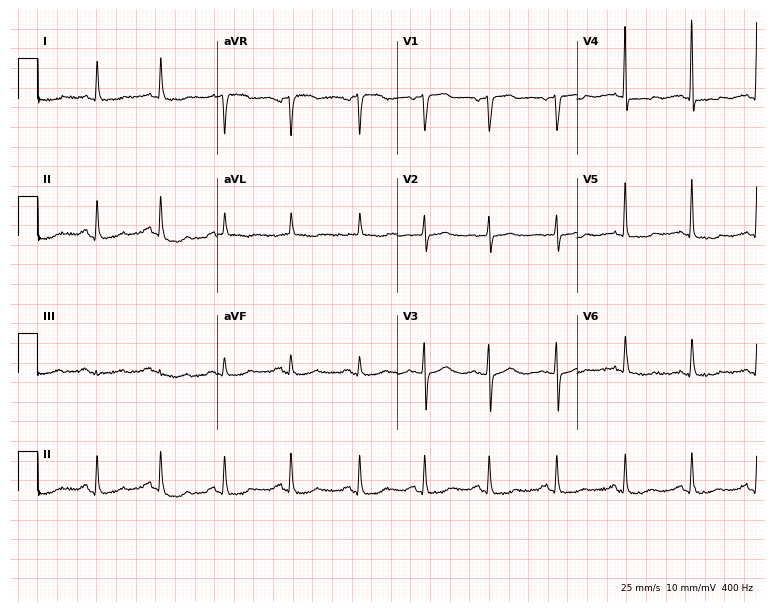
12-lead ECG (7.3-second recording at 400 Hz) from a 67-year-old woman. Screened for six findings — first-degree AV block, right bundle branch block, left bundle branch block, sinus bradycardia, atrial fibrillation, sinus tachycardia — none is recorded.